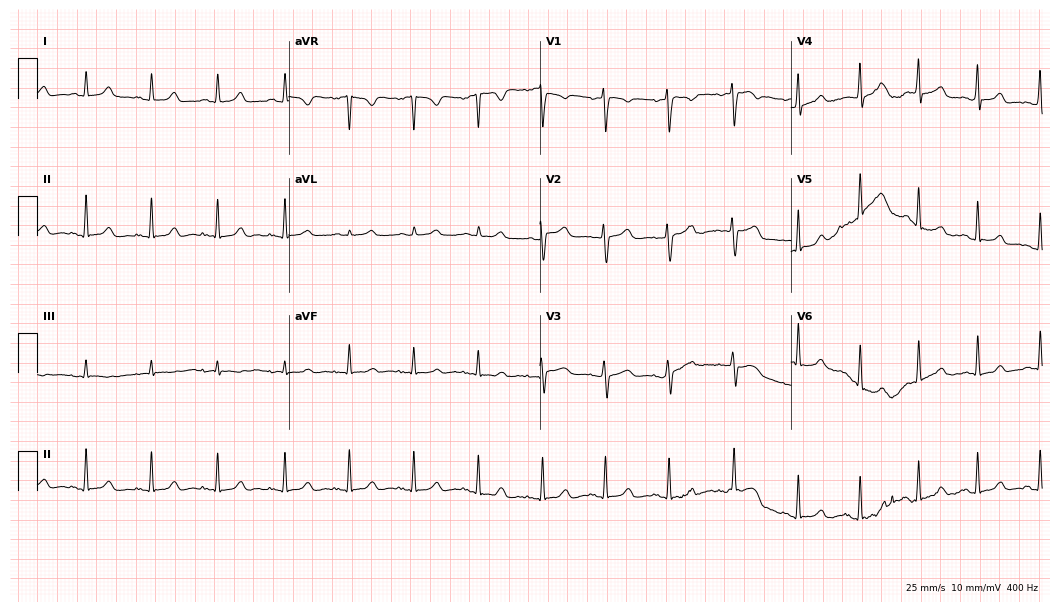
Standard 12-lead ECG recorded from a female, 28 years old. None of these six findings is recorded: first-degree AV block, right bundle branch block (RBBB), left bundle branch block (LBBB), sinus bradycardia, atrial fibrillation (AF), sinus tachycardia. Findings outside these six are not listed.